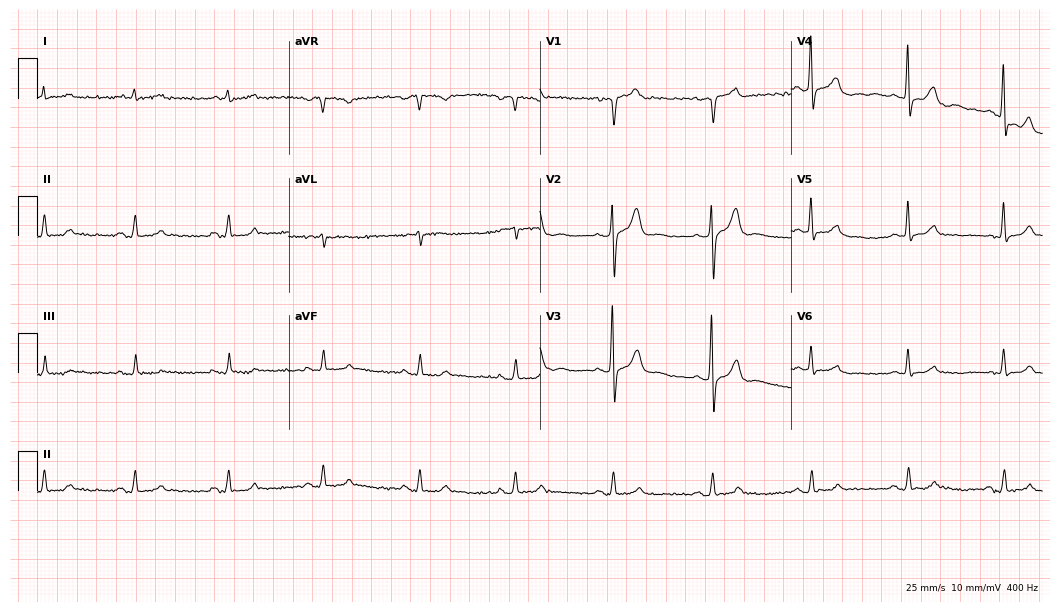
ECG (10.2-second recording at 400 Hz) — a 61-year-old male patient. Labelled as a normal ECG.